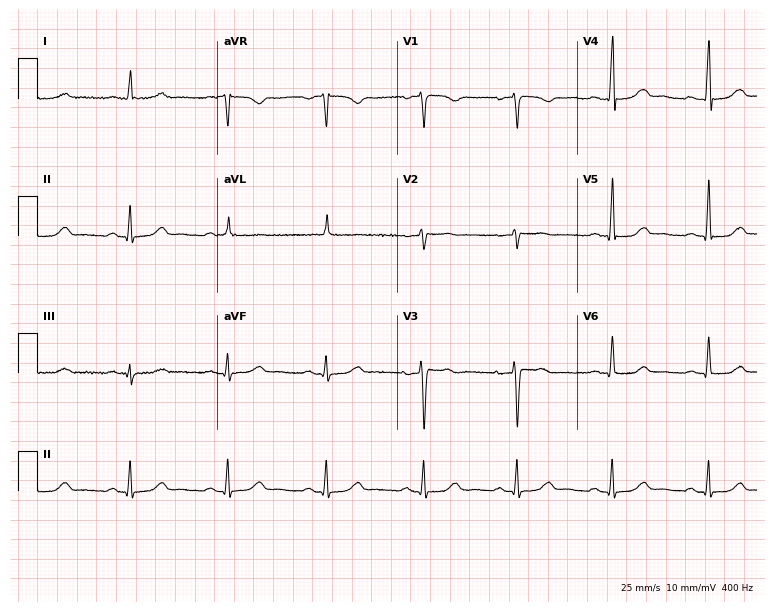
Standard 12-lead ECG recorded from a 51-year-old woman (7.3-second recording at 400 Hz). None of these six findings is recorded: first-degree AV block, right bundle branch block, left bundle branch block, sinus bradycardia, atrial fibrillation, sinus tachycardia. Findings outside these six are not listed.